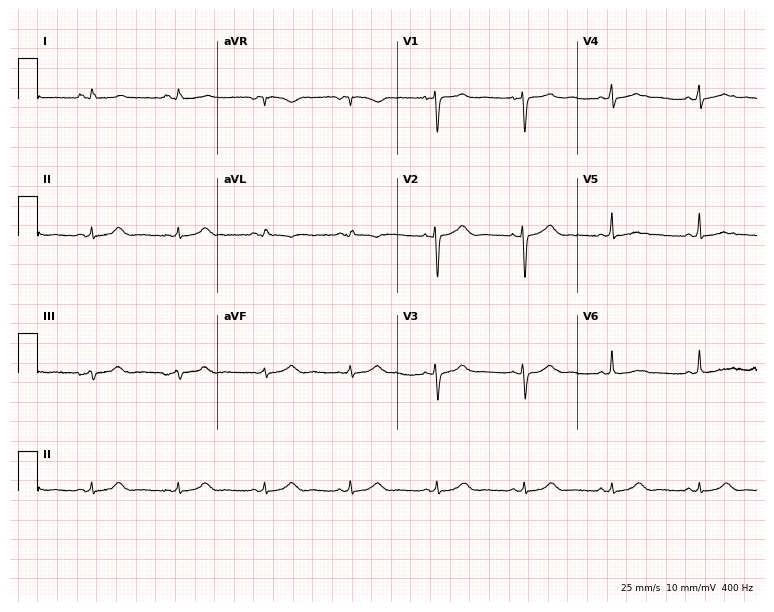
12-lead ECG from a woman, 47 years old. Recorded interpretation: within normal limits.